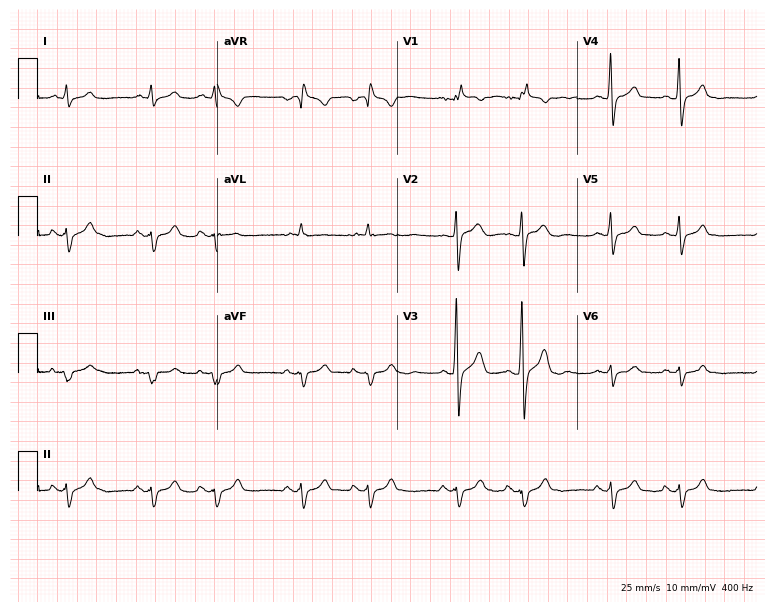
12-lead ECG from a man, 34 years old. No first-degree AV block, right bundle branch block, left bundle branch block, sinus bradycardia, atrial fibrillation or sinus tachycardia recorded for this tracing.